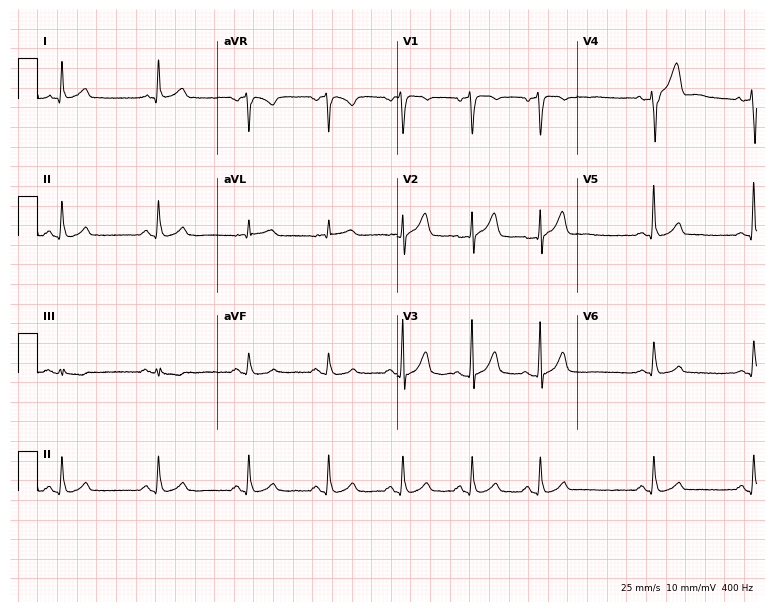
ECG (7.3-second recording at 400 Hz) — a 46-year-old male patient. Screened for six findings — first-degree AV block, right bundle branch block (RBBB), left bundle branch block (LBBB), sinus bradycardia, atrial fibrillation (AF), sinus tachycardia — none is recorded. Other findings, if any, are not listed.